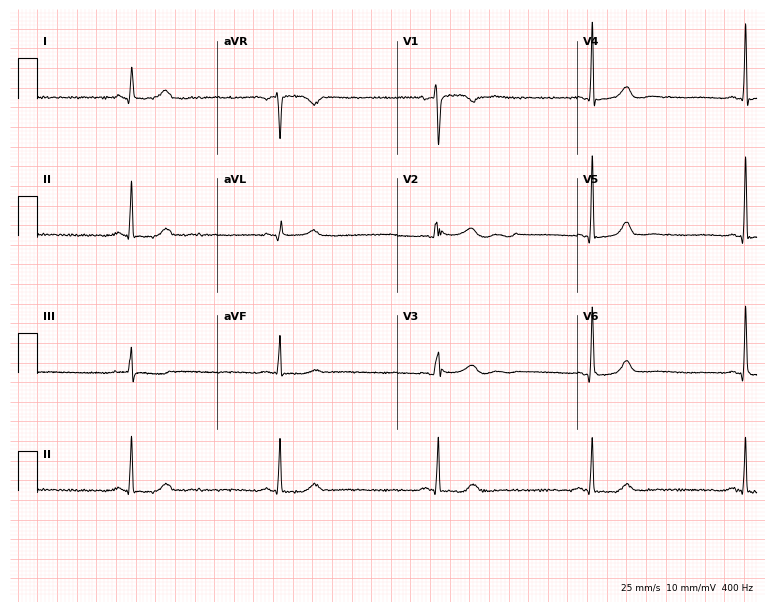
Electrocardiogram, a female, 53 years old. Interpretation includes sinus bradycardia (a sinus rate of 50 beats per minute or less).